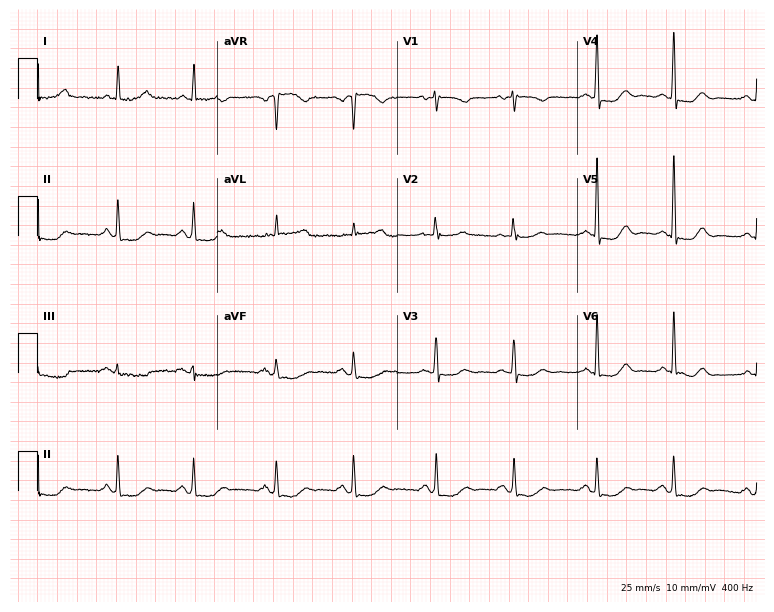
12-lead ECG (7.3-second recording at 400 Hz) from a female, 68 years old. Screened for six findings — first-degree AV block, right bundle branch block, left bundle branch block, sinus bradycardia, atrial fibrillation, sinus tachycardia — none is recorded. Only these six findings were labelled.